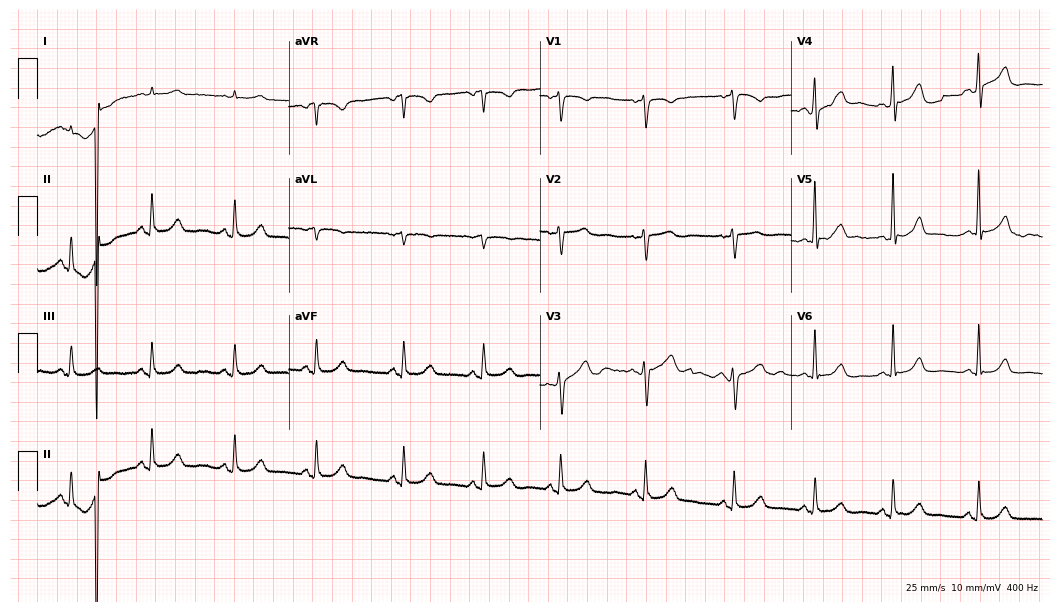
12-lead ECG from a 75-year-old female (10.2-second recording at 400 Hz). Recorded interpretation: within normal limits.